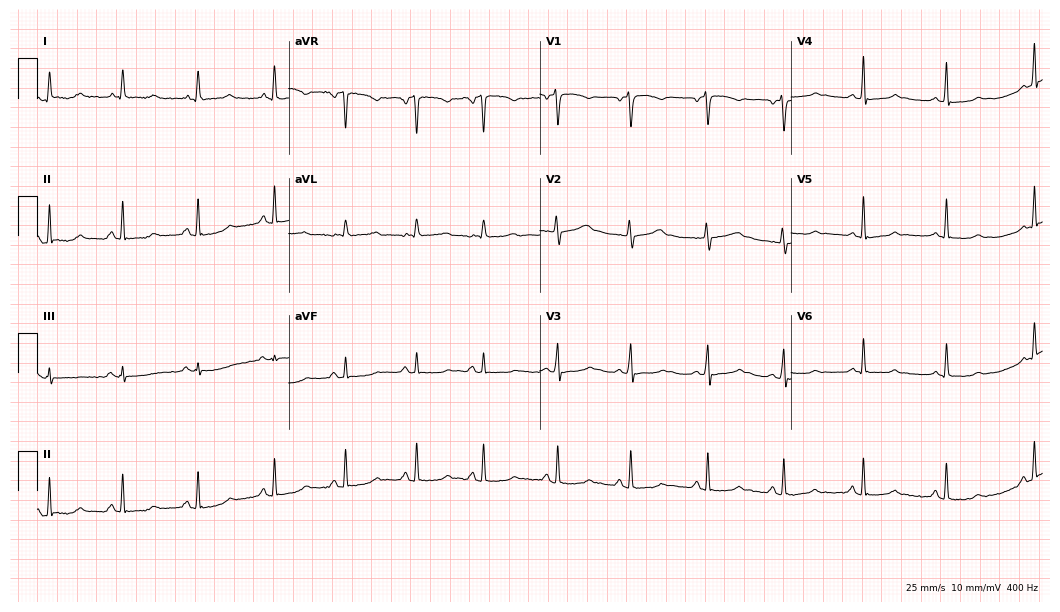
12-lead ECG from a woman, 33 years old (10.2-second recording at 400 Hz). Recorded interpretation: within normal limits.